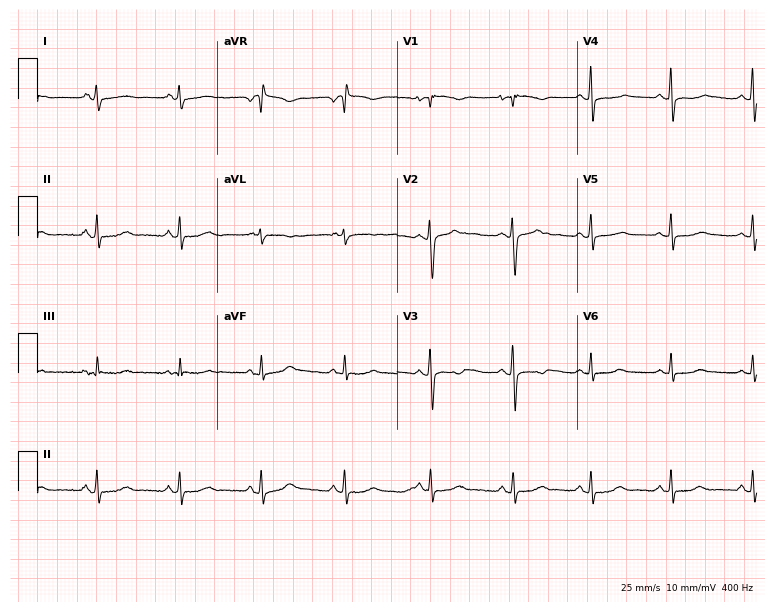
ECG — a 20-year-old woman. Labelled as a normal ECG.